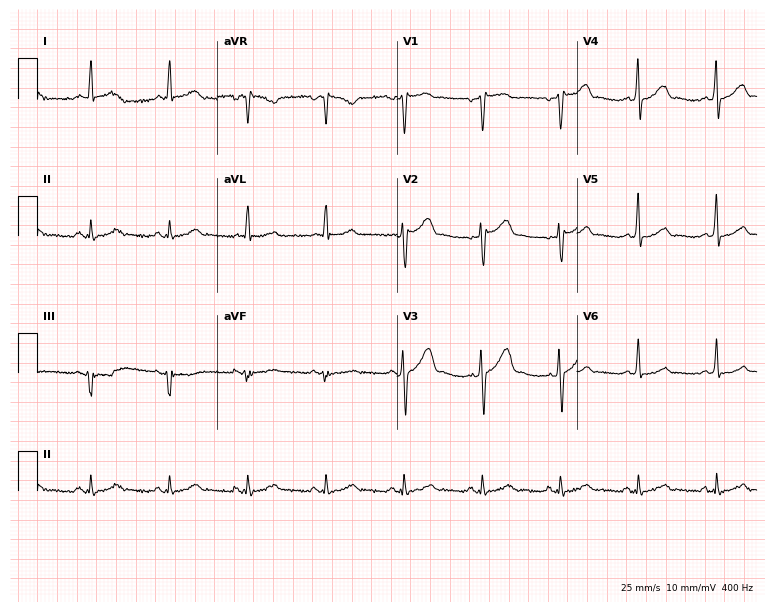
Resting 12-lead electrocardiogram (7.3-second recording at 400 Hz). Patient: a male, 54 years old. Read as a normal ECG.